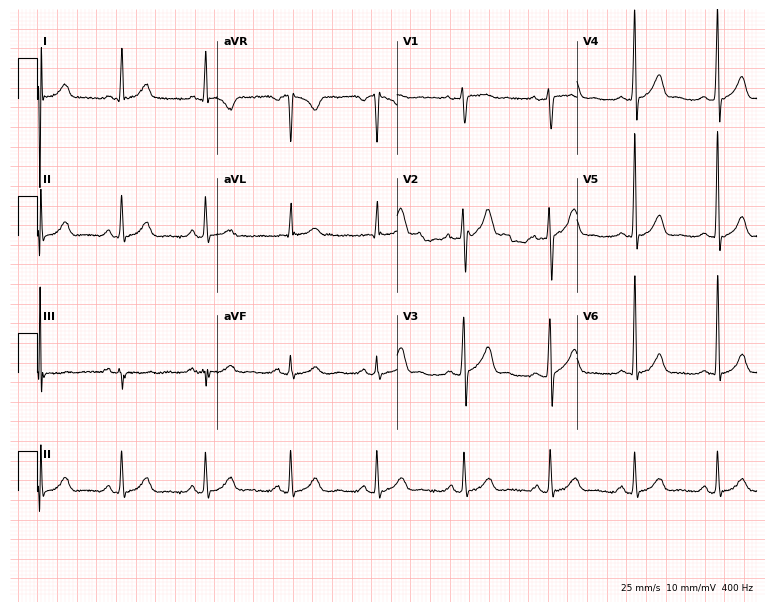
Standard 12-lead ECG recorded from a male, 39 years old. Read as a normal ECG.